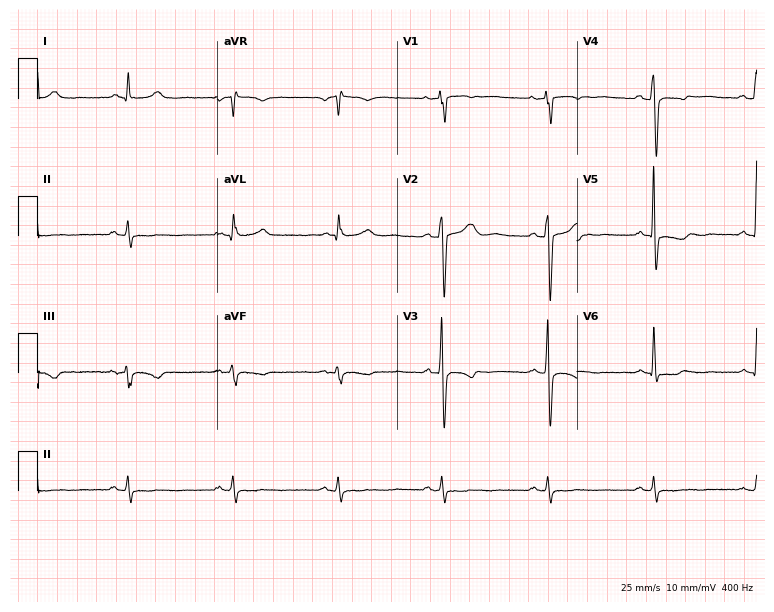
Resting 12-lead electrocardiogram. Patient: a male, 57 years old. None of these six findings is recorded: first-degree AV block, right bundle branch block, left bundle branch block, sinus bradycardia, atrial fibrillation, sinus tachycardia.